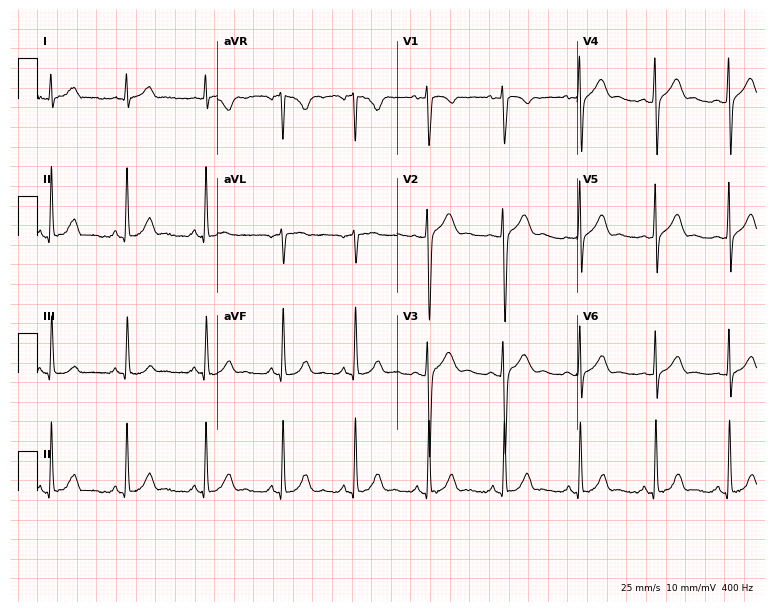
Resting 12-lead electrocardiogram (7.3-second recording at 400 Hz). Patient: a male, 32 years old. Read as a normal ECG.